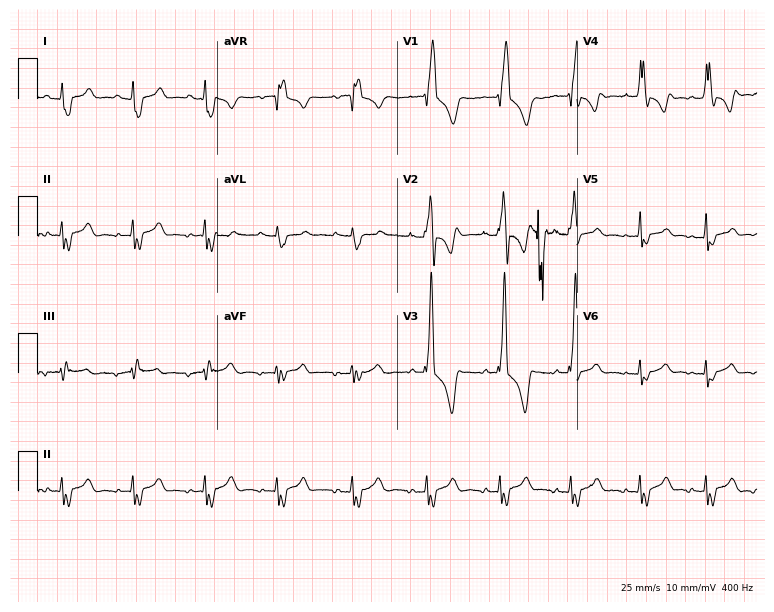
Electrocardiogram, a female, 33 years old. Interpretation includes right bundle branch block (RBBB).